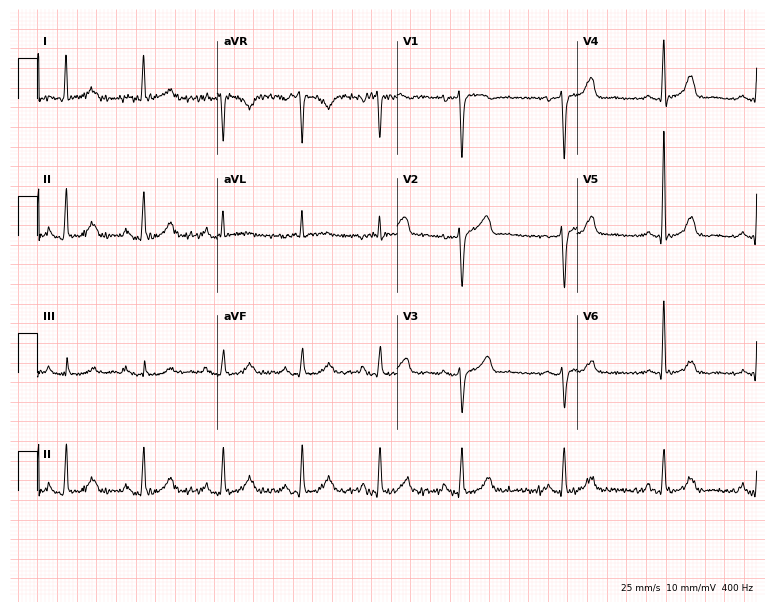
Resting 12-lead electrocardiogram. Patient: a 76-year-old female. Read as a normal ECG.